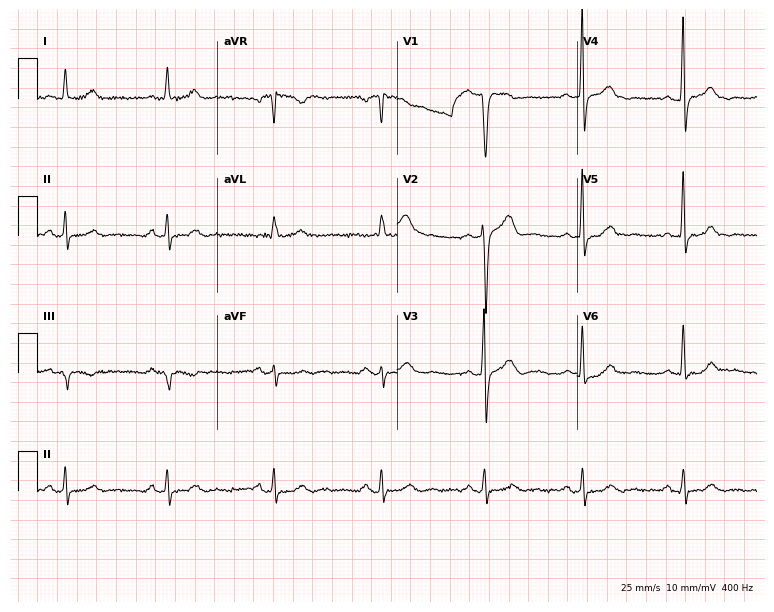
12-lead ECG from a 52-year-old man. Labelled as a normal ECG.